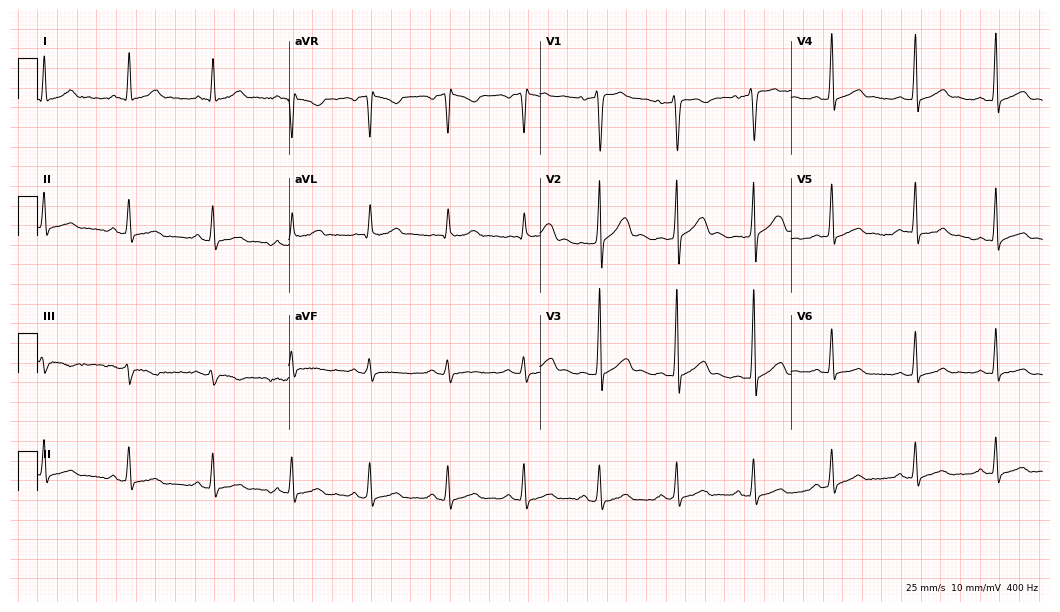
Standard 12-lead ECG recorded from a man, 35 years old. None of these six findings is recorded: first-degree AV block, right bundle branch block (RBBB), left bundle branch block (LBBB), sinus bradycardia, atrial fibrillation (AF), sinus tachycardia.